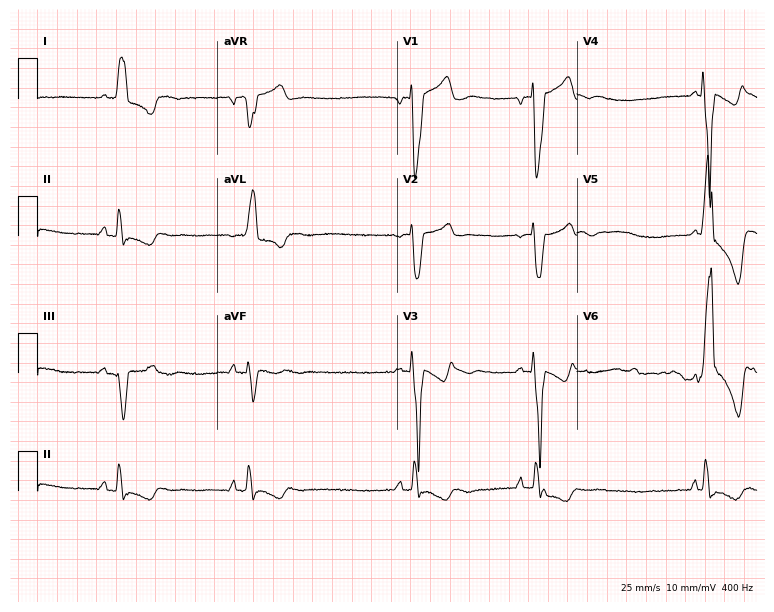
Standard 12-lead ECG recorded from a female patient, 77 years old. None of these six findings is recorded: first-degree AV block, right bundle branch block, left bundle branch block, sinus bradycardia, atrial fibrillation, sinus tachycardia.